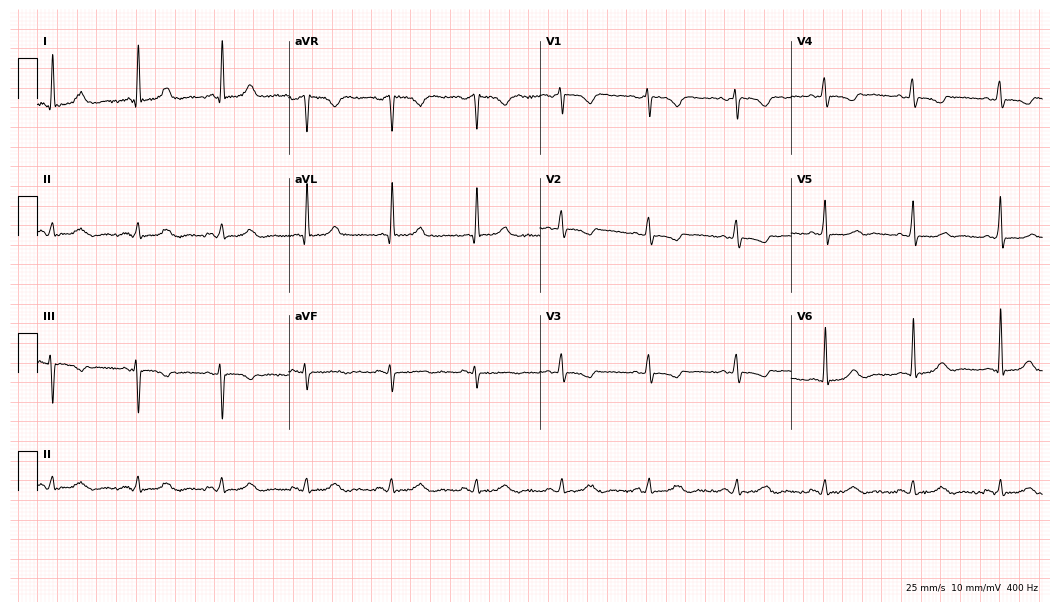
Standard 12-lead ECG recorded from a woman, 66 years old (10.2-second recording at 400 Hz). None of these six findings is recorded: first-degree AV block, right bundle branch block (RBBB), left bundle branch block (LBBB), sinus bradycardia, atrial fibrillation (AF), sinus tachycardia. Findings outside these six are not listed.